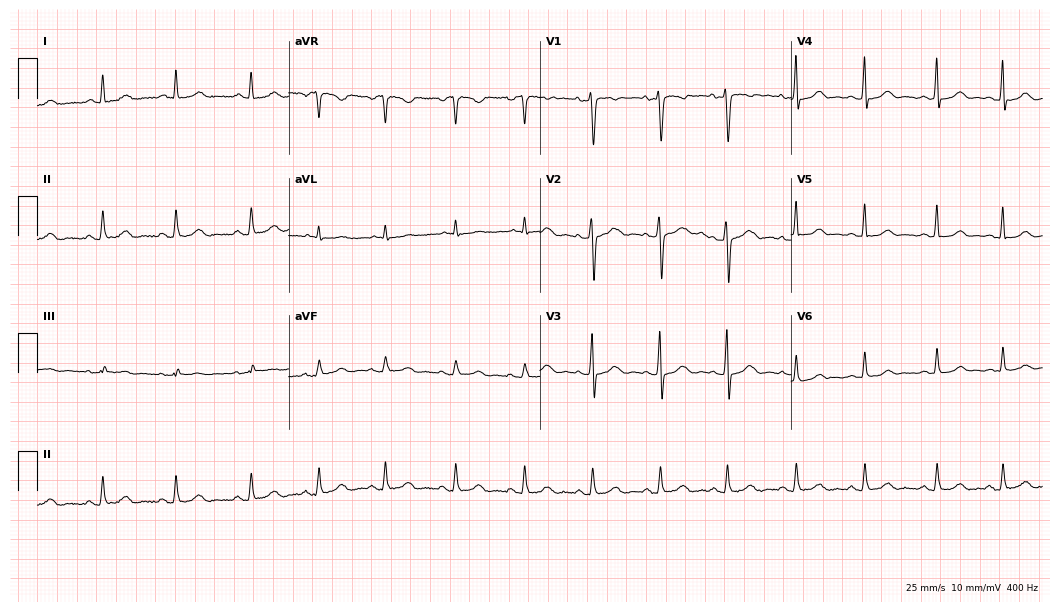
Standard 12-lead ECG recorded from a female, 33 years old. Read as a normal ECG.